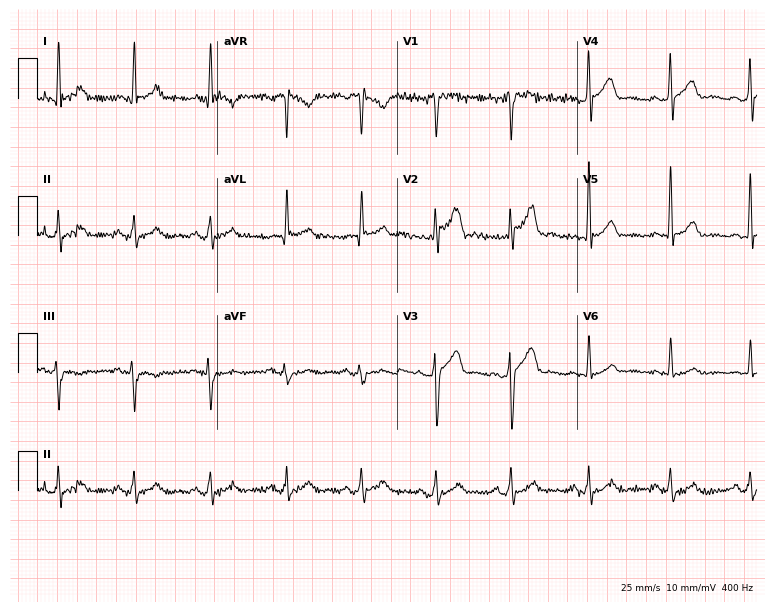
12-lead ECG from a man, 53 years old. Recorded interpretation: within normal limits.